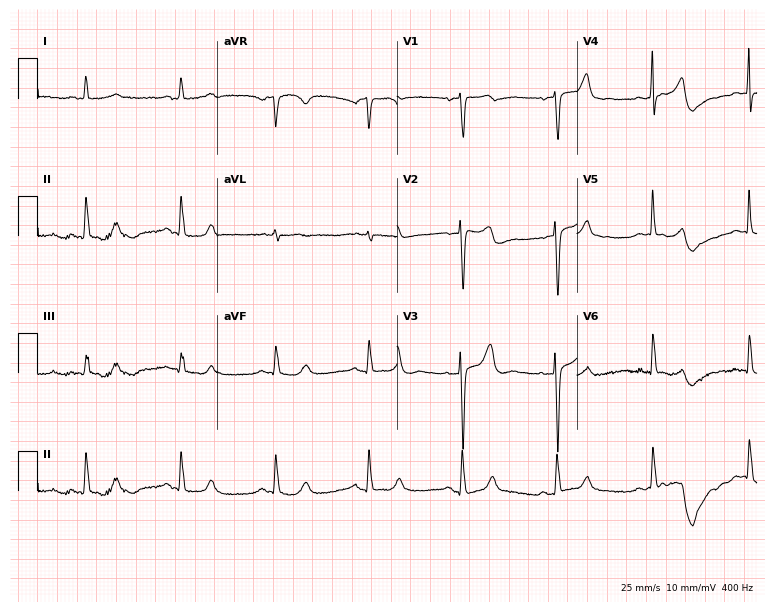
ECG — a woman, 66 years old. Labelled as a normal ECG.